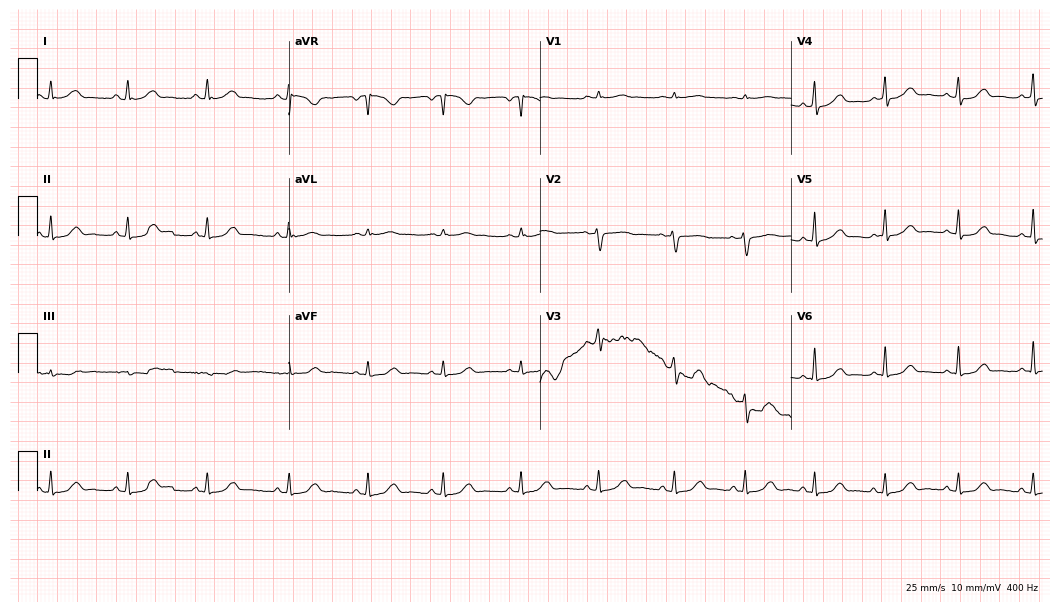
12-lead ECG from a 40-year-old female patient. Labelled as a normal ECG.